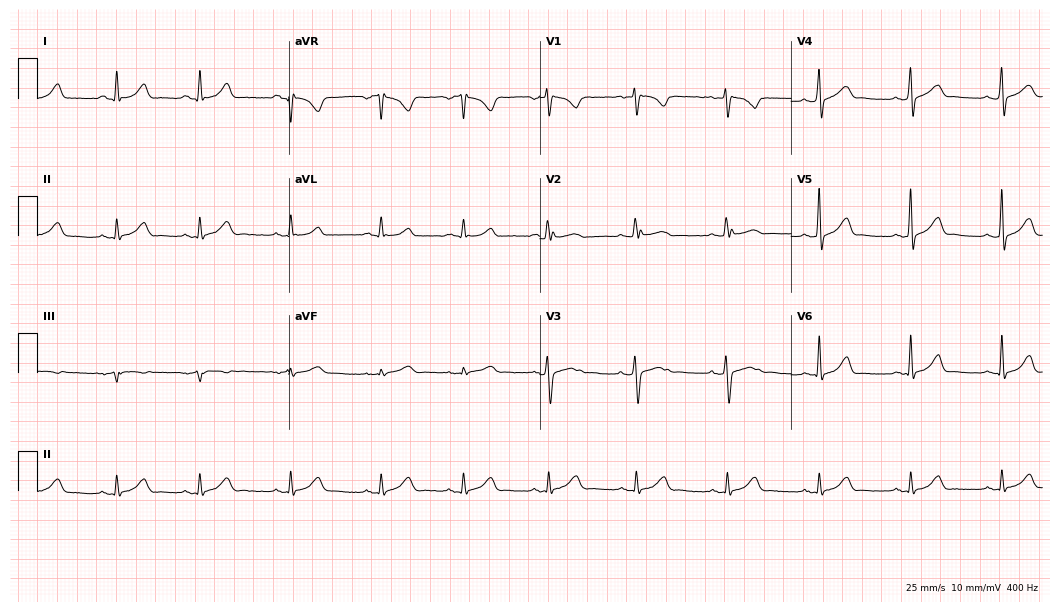
12-lead ECG from a 20-year-old female (10.2-second recording at 400 Hz). Recorded interpretation: within normal limits.